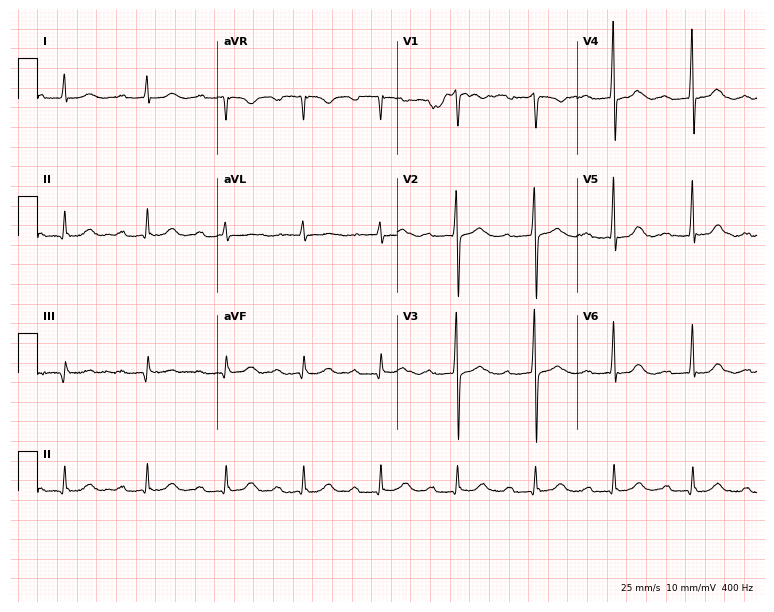
Electrocardiogram (7.3-second recording at 400 Hz), a man, 83 years old. Interpretation includes first-degree AV block.